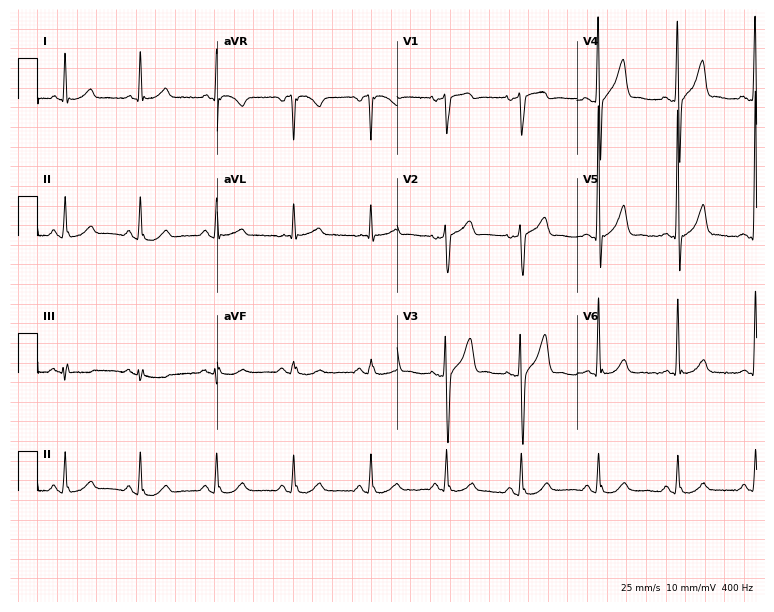
Resting 12-lead electrocardiogram (7.3-second recording at 400 Hz). Patient: a man, 63 years old. None of these six findings is recorded: first-degree AV block, right bundle branch block (RBBB), left bundle branch block (LBBB), sinus bradycardia, atrial fibrillation (AF), sinus tachycardia. Other findings, if any, are not listed.